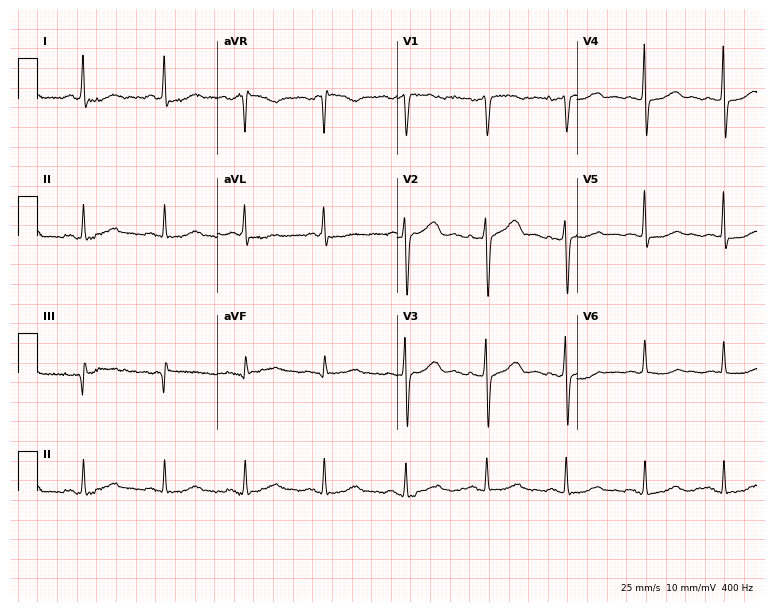
12-lead ECG from a 53-year-old female (7.3-second recording at 400 Hz). No first-degree AV block, right bundle branch block, left bundle branch block, sinus bradycardia, atrial fibrillation or sinus tachycardia recorded for this tracing.